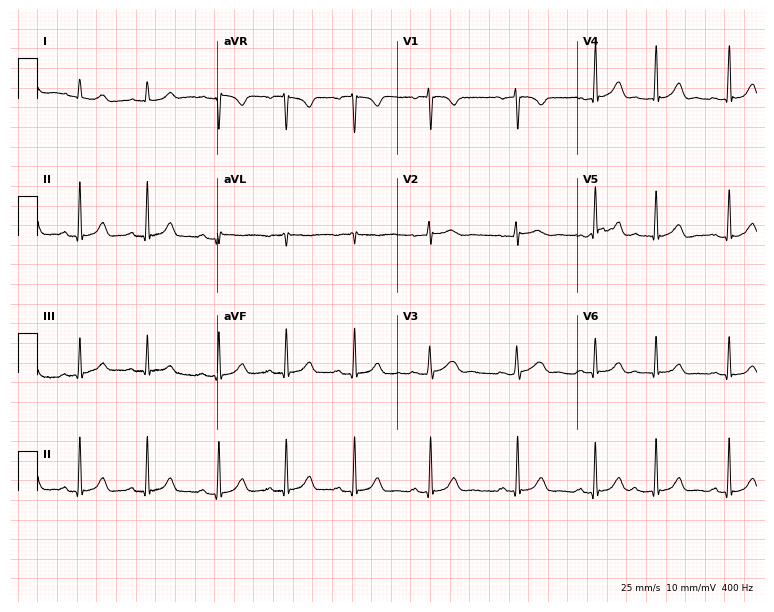
12-lead ECG (7.3-second recording at 400 Hz) from a woman, 27 years old. Labelled as a normal ECG.